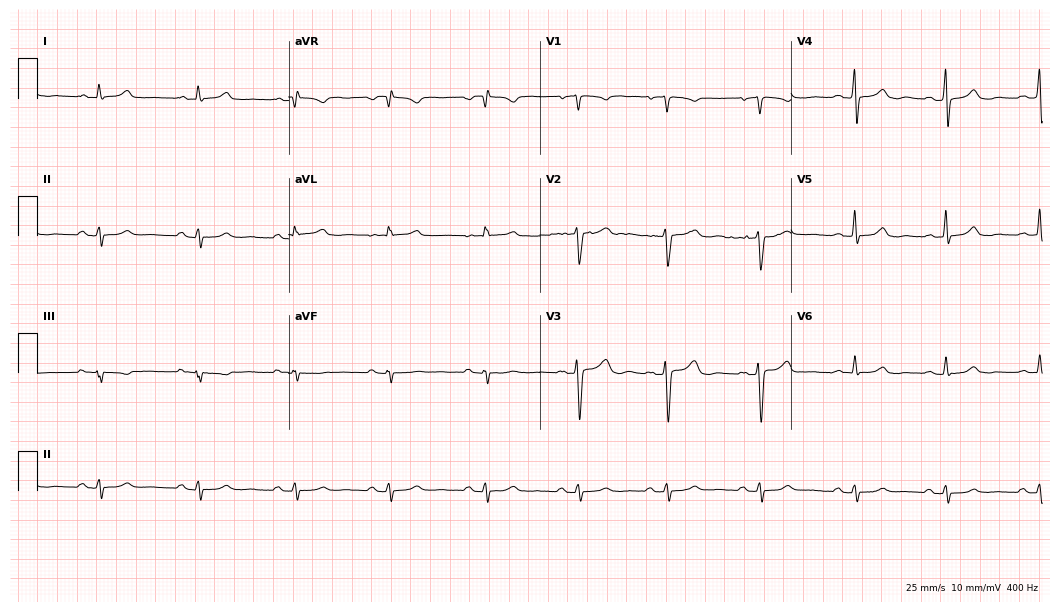
Electrocardiogram (10.2-second recording at 400 Hz), a woman, 46 years old. Of the six screened findings (first-degree AV block, right bundle branch block, left bundle branch block, sinus bradycardia, atrial fibrillation, sinus tachycardia), none is recorded.